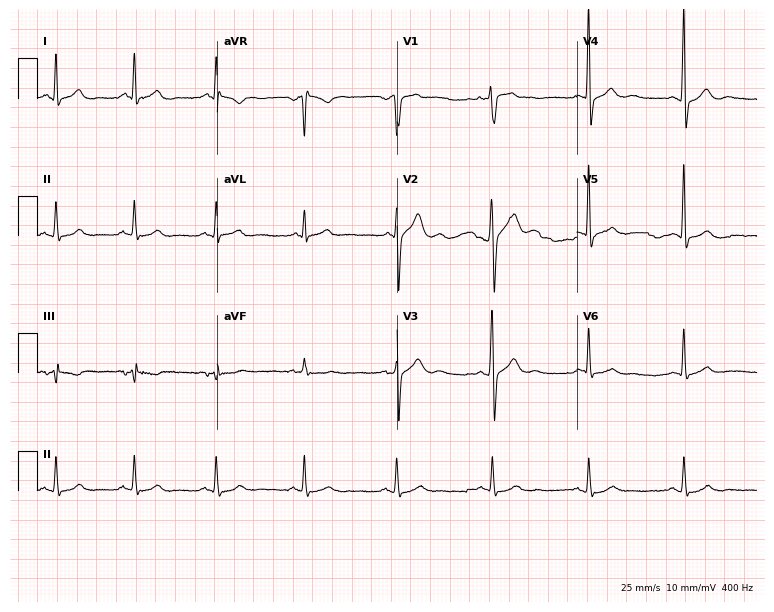
12-lead ECG from a female, 55 years old. Screened for six findings — first-degree AV block, right bundle branch block (RBBB), left bundle branch block (LBBB), sinus bradycardia, atrial fibrillation (AF), sinus tachycardia — none is recorded.